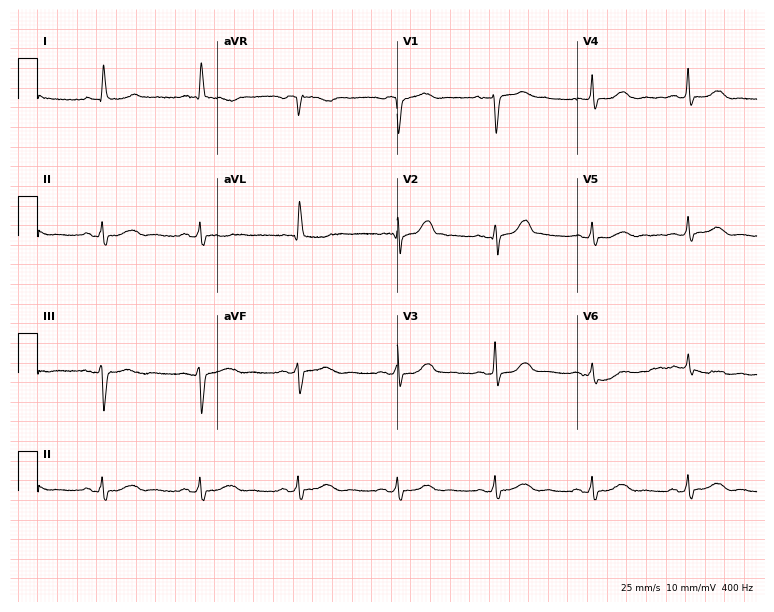
Standard 12-lead ECG recorded from a female patient, 83 years old. None of these six findings is recorded: first-degree AV block, right bundle branch block, left bundle branch block, sinus bradycardia, atrial fibrillation, sinus tachycardia.